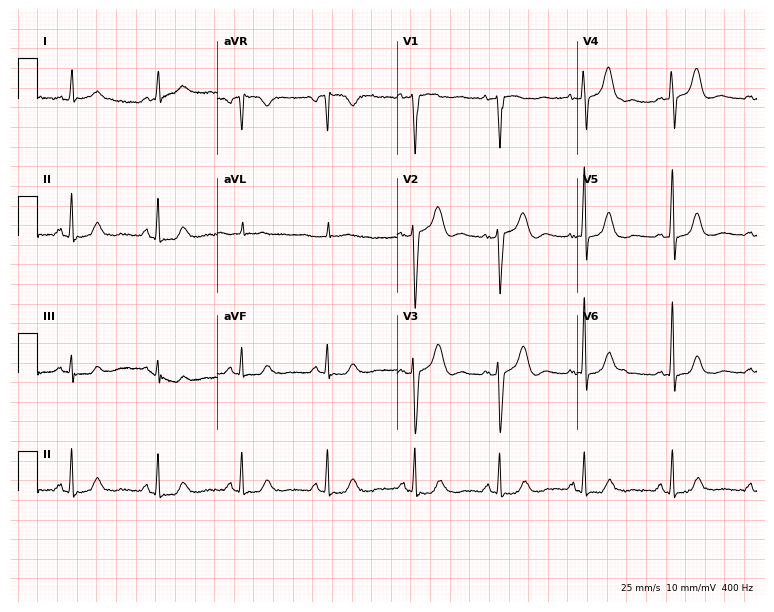
Resting 12-lead electrocardiogram. Patient: a woman, 50 years old. None of these six findings is recorded: first-degree AV block, right bundle branch block, left bundle branch block, sinus bradycardia, atrial fibrillation, sinus tachycardia.